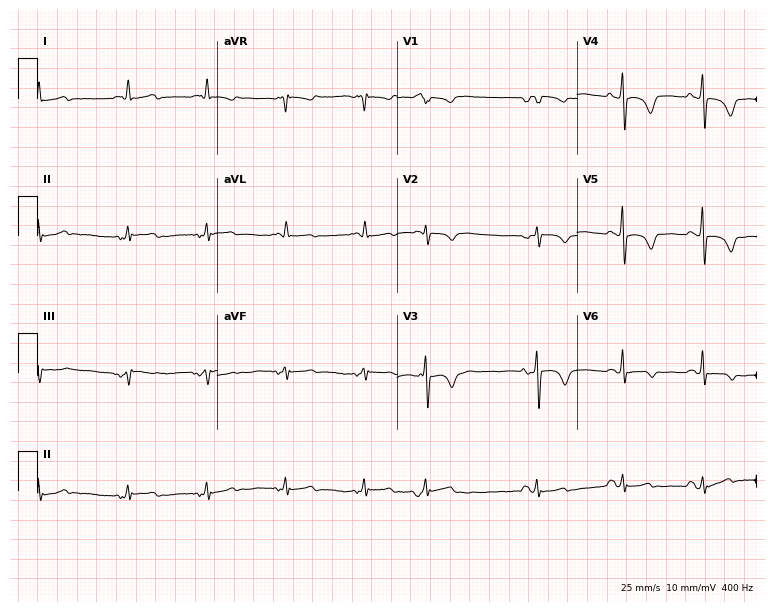
12-lead ECG (7.3-second recording at 400 Hz) from a woman, 72 years old. Screened for six findings — first-degree AV block, right bundle branch block, left bundle branch block, sinus bradycardia, atrial fibrillation, sinus tachycardia — none is recorded.